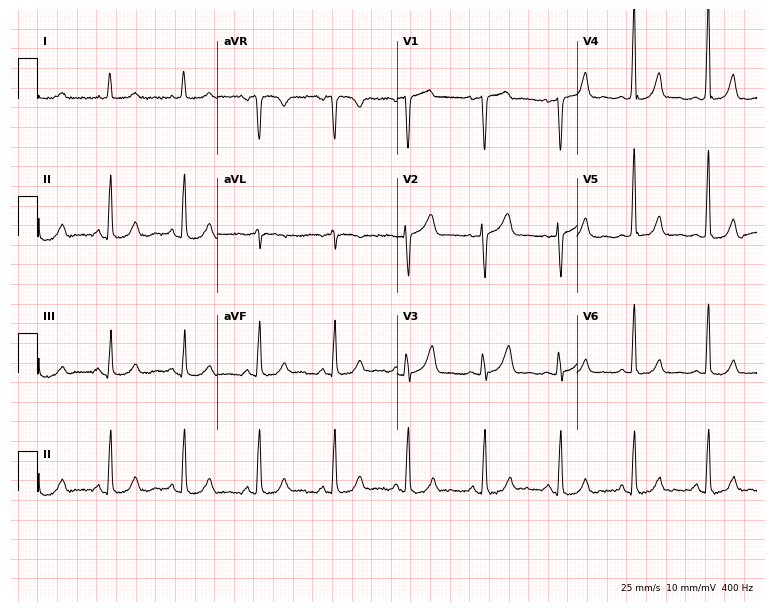
12-lead ECG from a 50-year-old woman. Recorded interpretation: within normal limits.